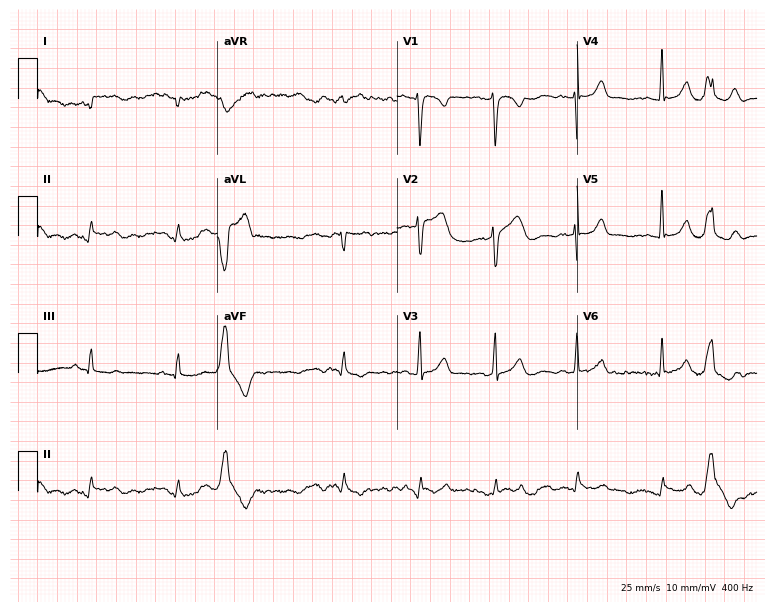
Standard 12-lead ECG recorded from a female, 40 years old (7.3-second recording at 400 Hz). None of these six findings is recorded: first-degree AV block, right bundle branch block (RBBB), left bundle branch block (LBBB), sinus bradycardia, atrial fibrillation (AF), sinus tachycardia. Only these six findings were labelled.